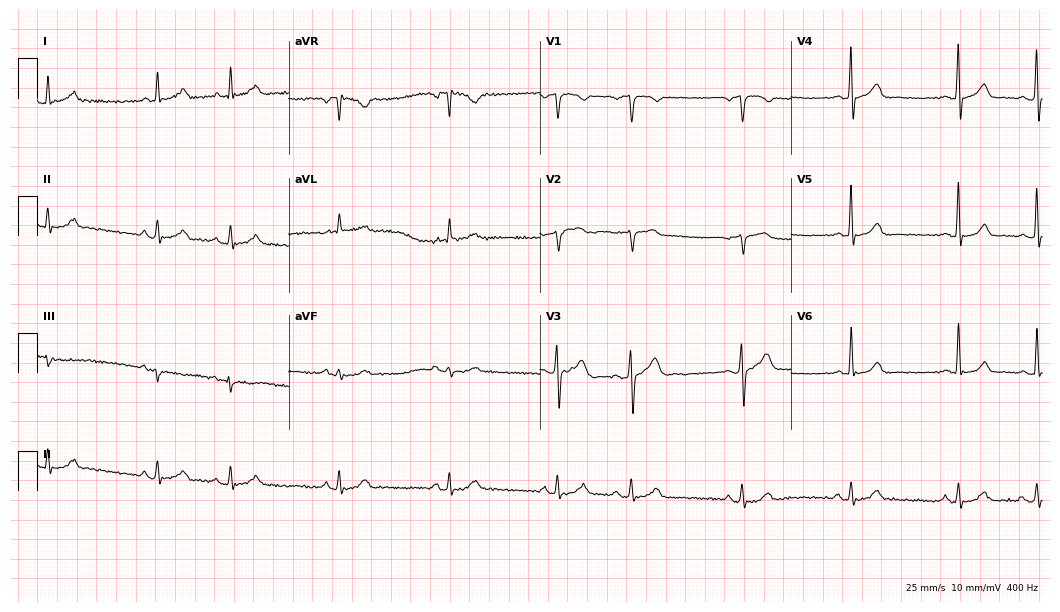
12-lead ECG from a 79-year-old male patient. No first-degree AV block, right bundle branch block, left bundle branch block, sinus bradycardia, atrial fibrillation or sinus tachycardia recorded for this tracing.